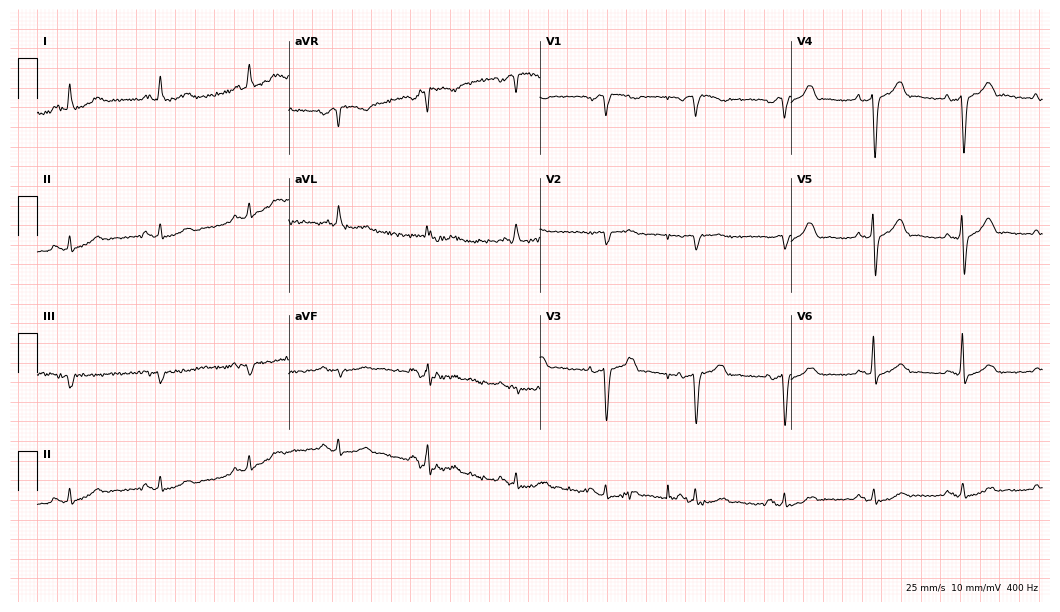
ECG — a male, 67 years old. Screened for six findings — first-degree AV block, right bundle branch block, left bundle branch block, sinus bradycardia, atrial fibrillation, sinus tachycardia — none is recorded.